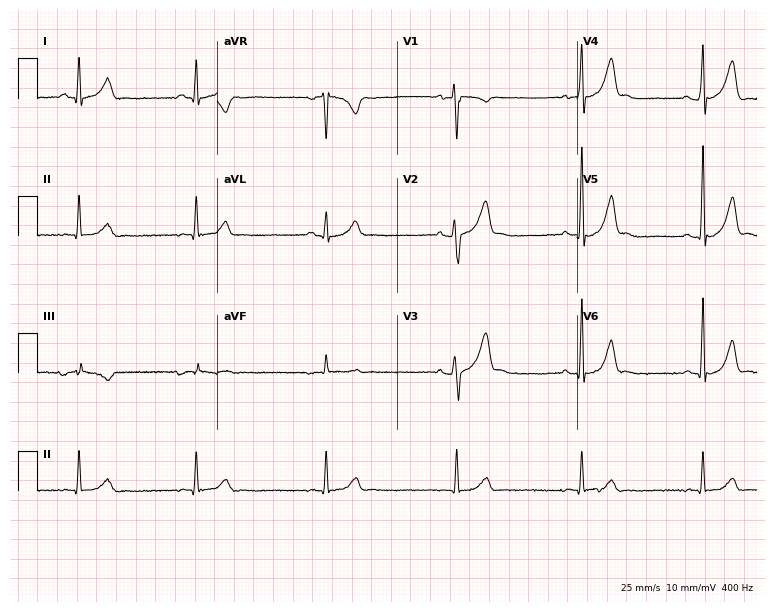
Resting 12-lead electrocardiogram (7.3-second recording at 400 Hz). Patient: a male, 36 years old. The tracing shows sinus bradycardia (a sinus rate of 50 beats per minute or less).